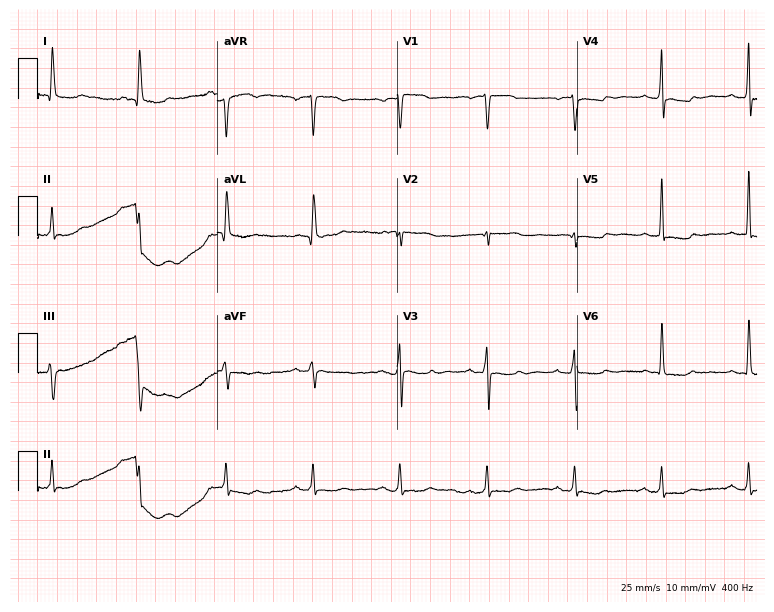
Standard 12-lead ECG recorded from a female patient, 62 years old. None of these six findings is recorded: first-degree AV block, right bundle branch block (RBBB), left bundle branch block (LBBB), sinus bradycardia, atrial fibrillation (AF), sinus tachycardia. Only these six findings were labelled.